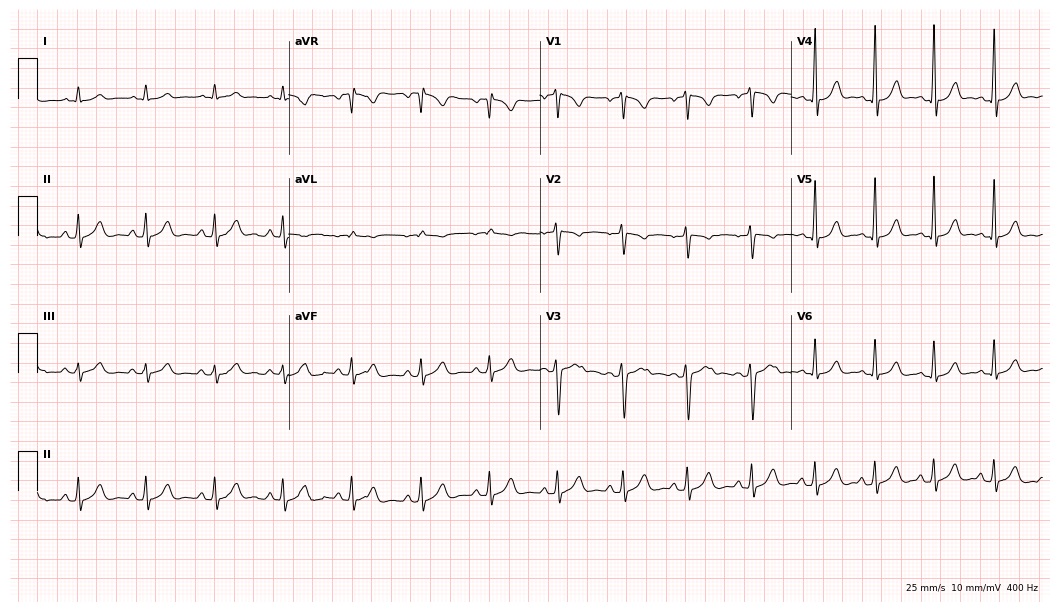
Electrocardiogram, a male, 30 years old. Overall reading on record: normal ECG.